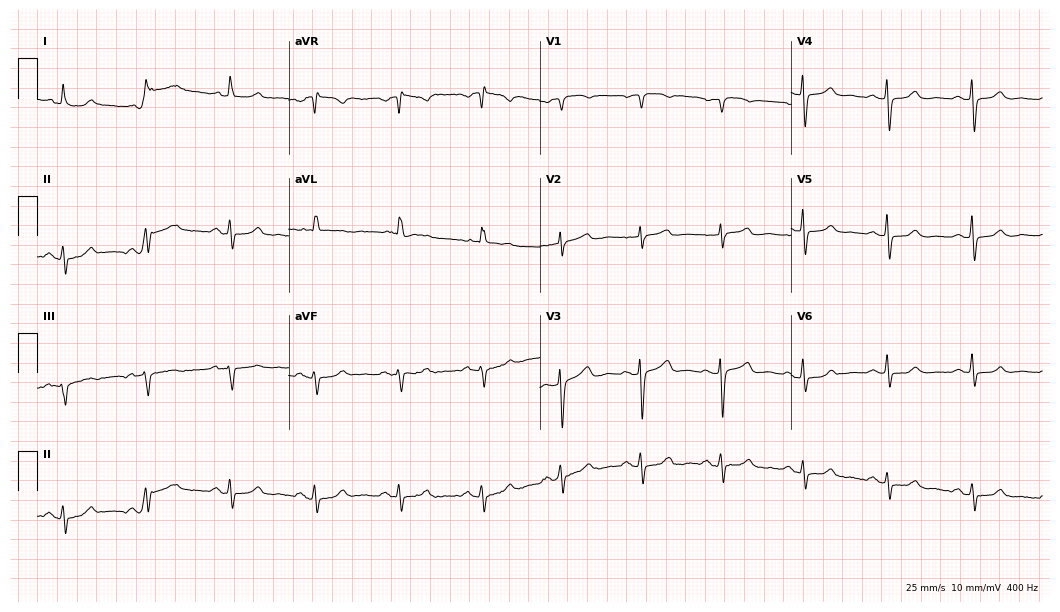
Resting 12-lead electrocardiogram (10.2-second recording at 400 Hz). Patient: a 59-year-old female. None of these six findings is recorded: first-degree AV block, right bundle branch block, left bundle branch block, sinus bradycardia, atrial fibrillation, sinus tachycardia.